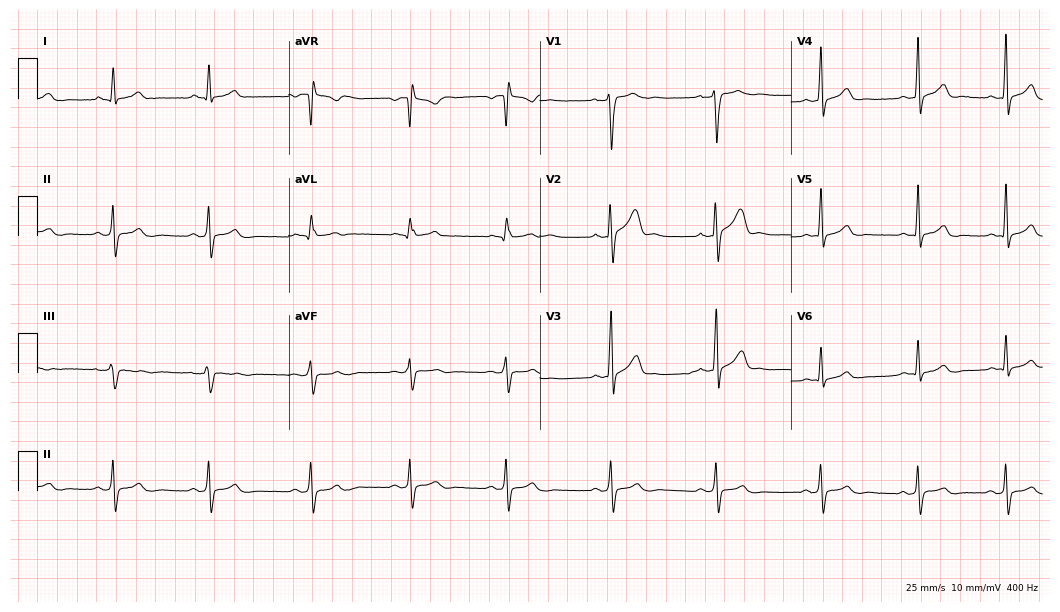
Resting 12-lead electrocardiogram. Patient: a male, 21 years old. None of these six findings is recorded: first-degree AV block, right bundle branch block, left bundle branch block, sinus bradycardia, atrial fibrillation, sinus tachycardia. Only these six findings were labelled.